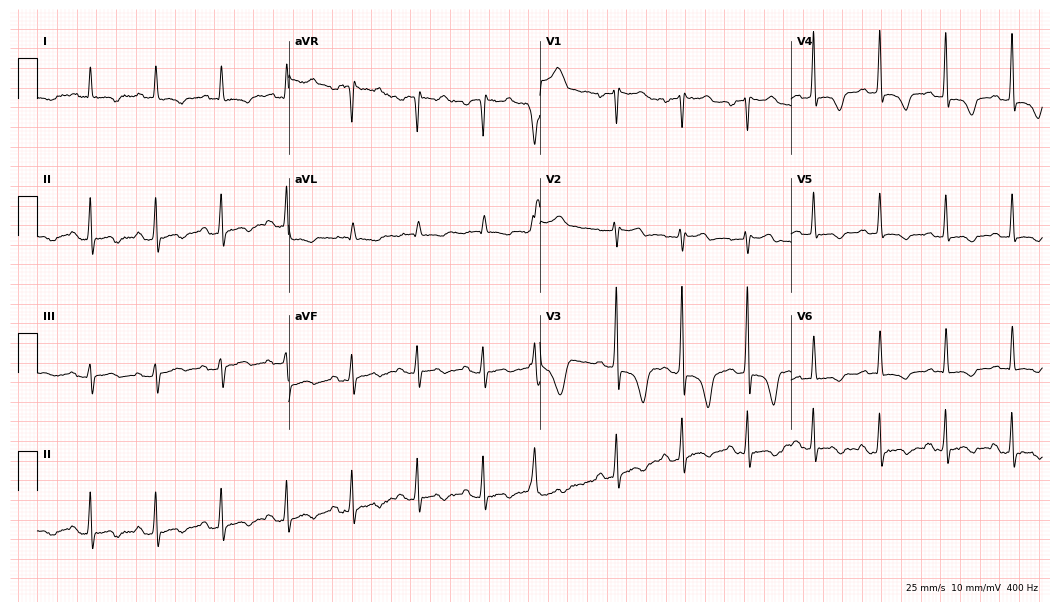
12-lead ECG from a female, 75 years old. Screened for six findings — first-degree AV block, right bundle branch block (RBBB), left bundle branch block (LBBB), sinus bradycardia, atrial fibrillation (AF), sinus tachycardia — none is recorded. Only these six findings were labelled.